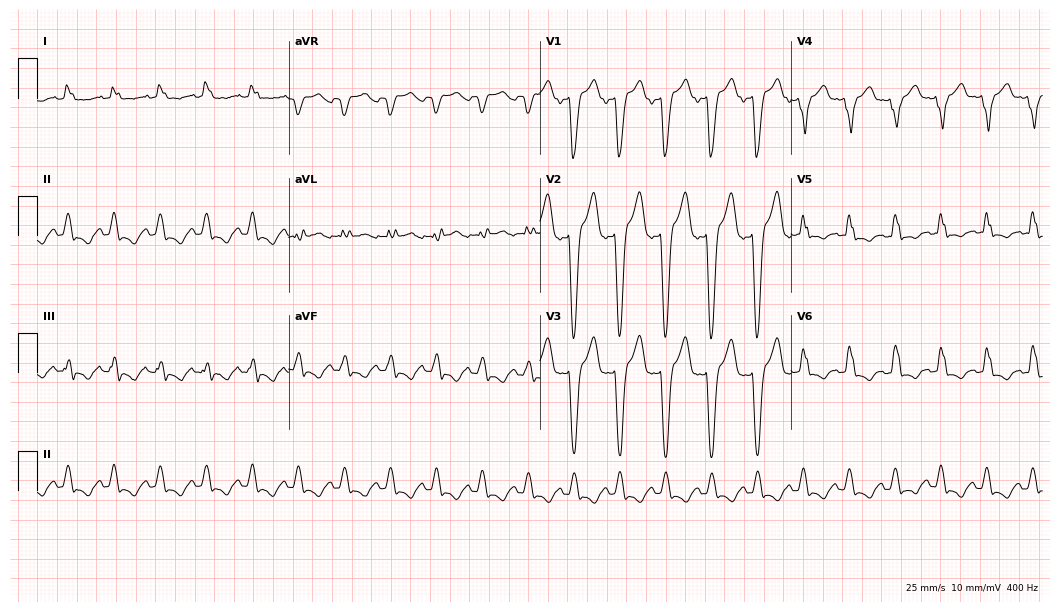
ECG (10.2-second recording at 400 Hz) — a woman, 28 years old. Findings include left bundle branch block (LBBB), sinus tachycardia (a sinus rate of 100 beats per minute or more).